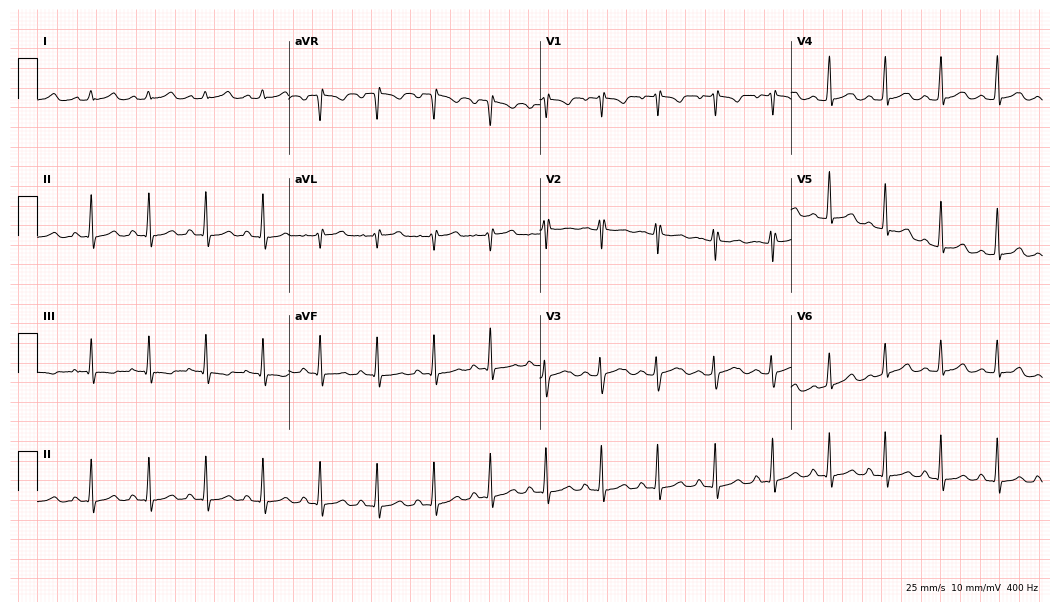
12-lead ECG (10.2-second recording at 400 Hz) from a 28-year-old female. Screened for six findings — first-degree AV block, right bundle branch block, left bundle branch block, sinus bradycardia, atrial fibrillation, sinus tachycardia — none is recorded.